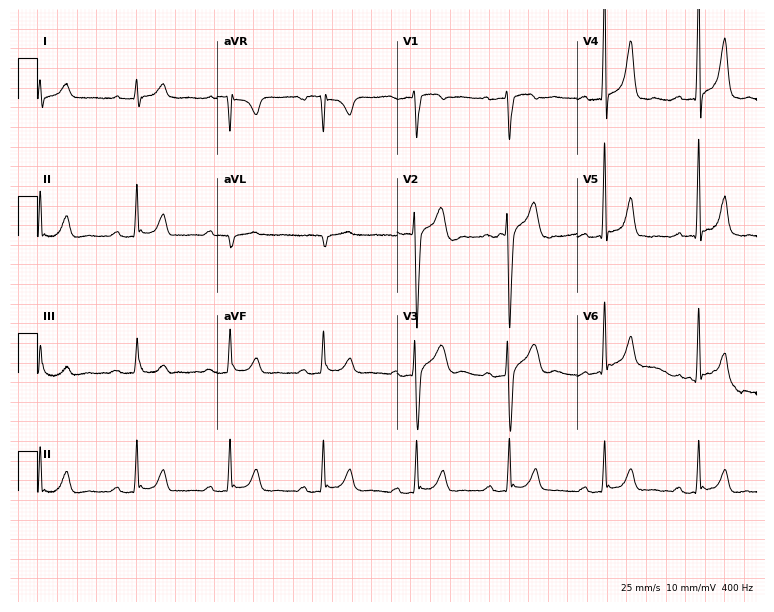
Electrocardiogram (7.3-second recording at 400 Hz), a 55-year-old man. Interpretation includes first-degree AV block.